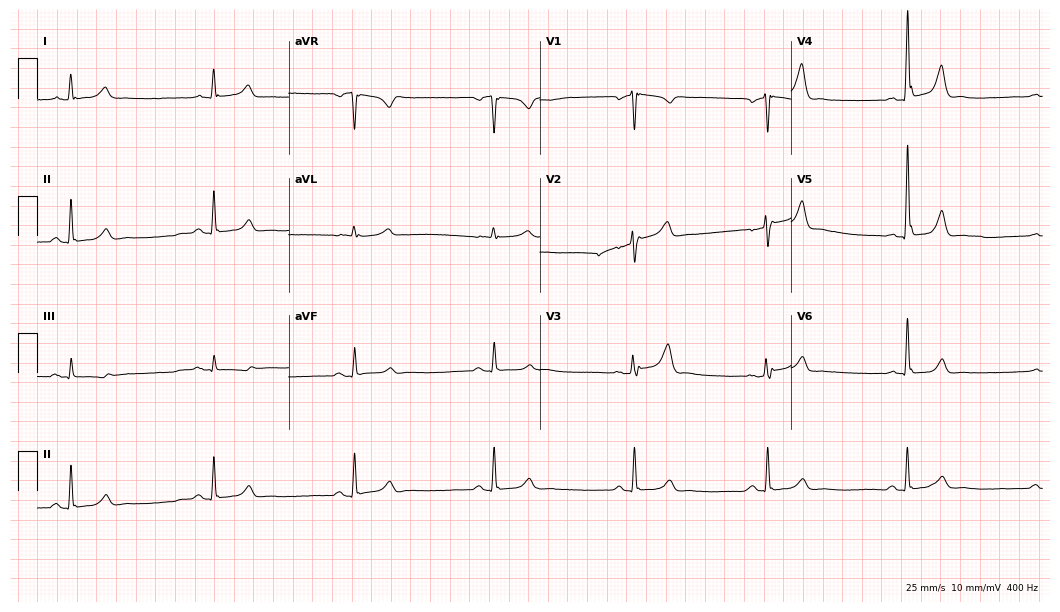
Resting 12-lead electrocardiogram. Patient: a 51-year-old man. None of these six findings is recorded: first-degree AV block, right bundle branch block, left bundle branch block, sinus bradycardia, atrial fibrillation, sinus tachycardia.